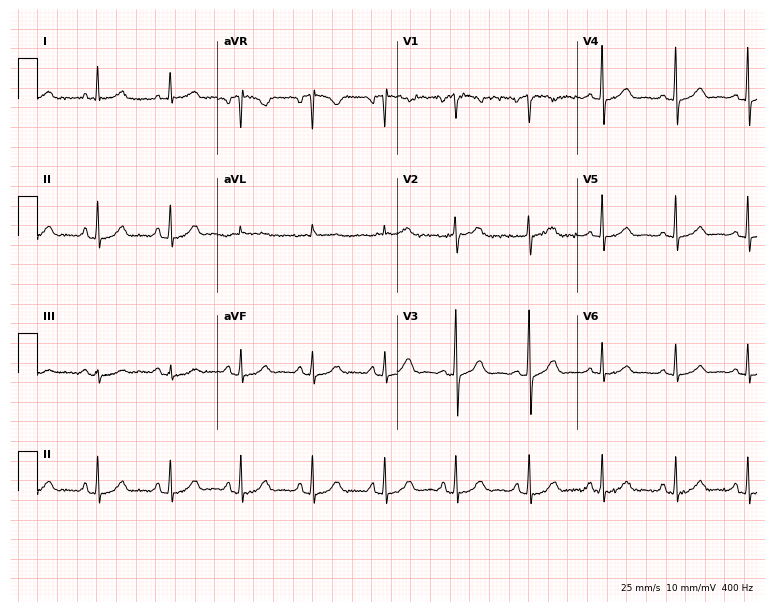
ECG (7.3-second recording at 400 Hz) — a female patient, 72 years old. Labelled as a normal ECG.